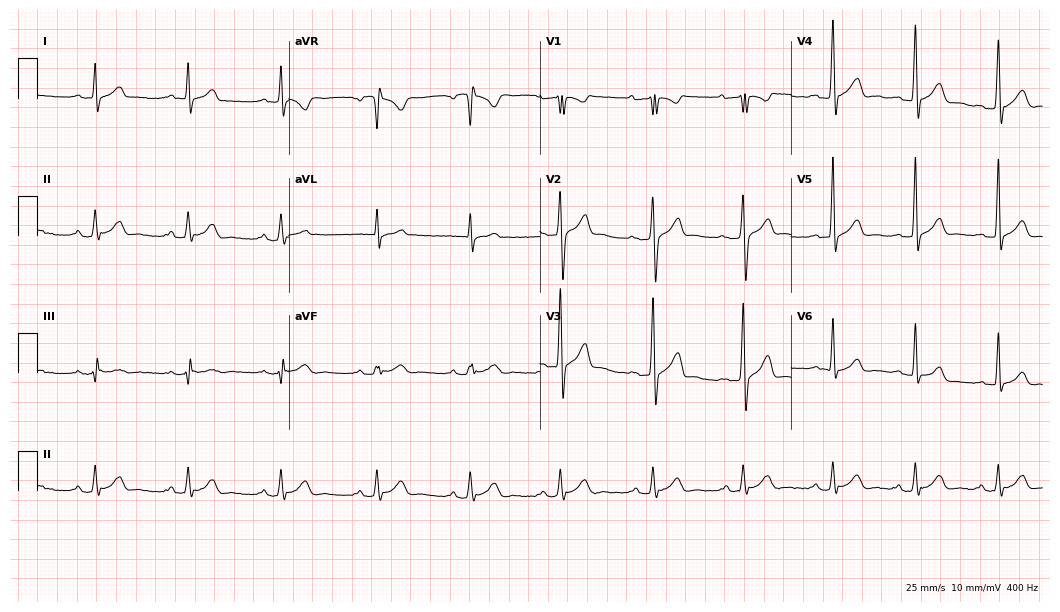
12-lead ECG from a male patient, 37 years old (10.2-second recording at 400 Hz). Recorded interpretation: within normal limits.